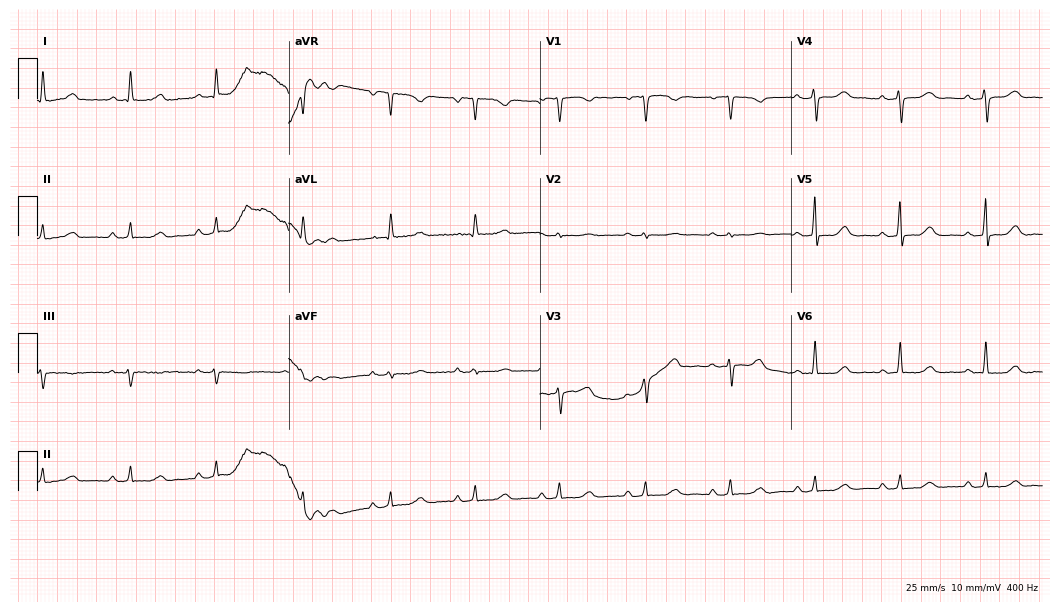
12-lead ECG from a 57-year-old female (10.2-second recording at 400 Hz). No first-degree AV block, right bundle branch block (RBBB), left bundle branch block (LBBB), sinus bradycardia, atrial fibrillation (AF) or sinus tachycardia recorded for this tracing. Only these six findings were labelled.